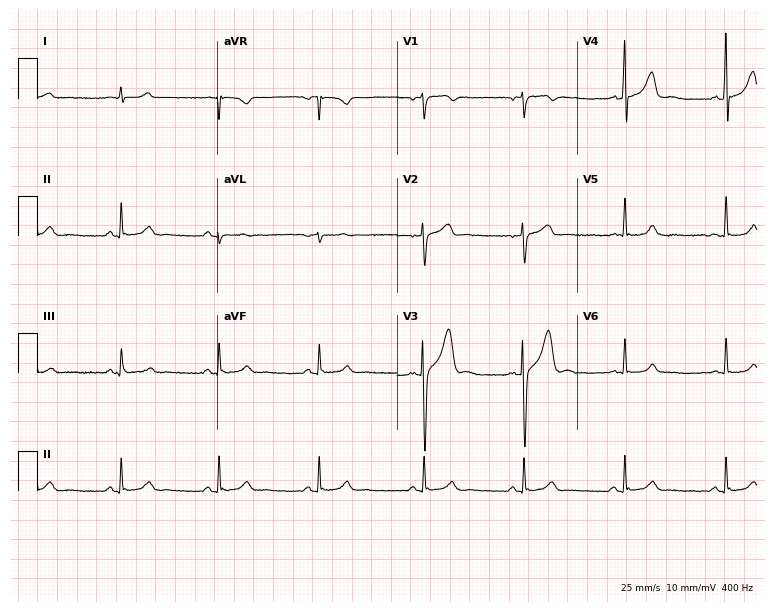
12-lead ECG from a man, 31 years old. No first-degree AV block, right bundle branch block (RBBB), left bundle branch block (LBBB), sinus bradycardia, atrial fibrillation (AF) or sinus tachycardia recorded for this tracing.